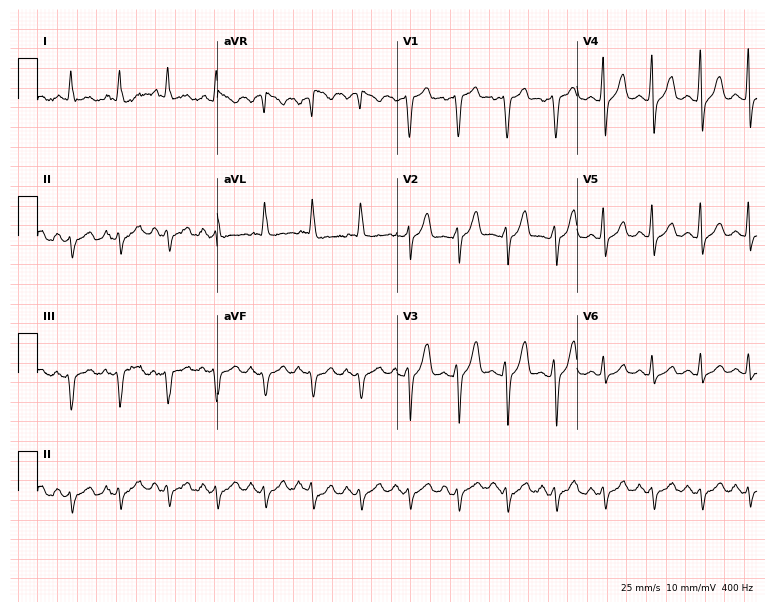
Resting 12-lead electrocardiogram. Patient: a female, 63 years old. The tracing shows sinus tachycardia (a sinus rate of 100 beats per minute or more).